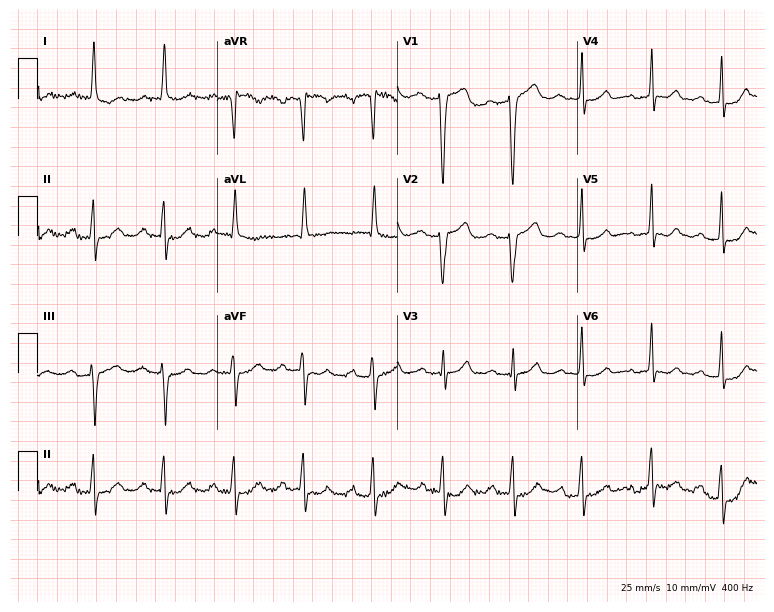
ECG — a female patient, 81 years old. Findings include first-degree AV block.